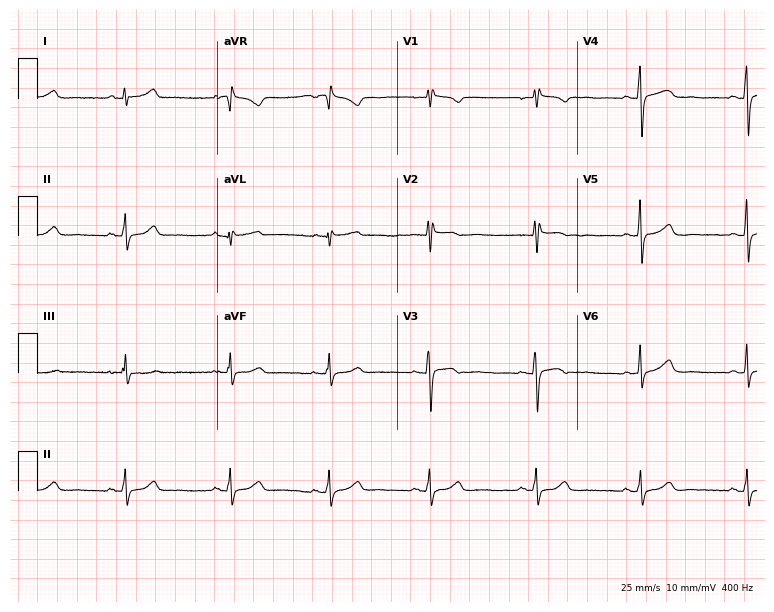
12-lead ECG from a woman, 39 years old (7.3-second recording at 400 Hz). Recorded interpretation: within normal limits.